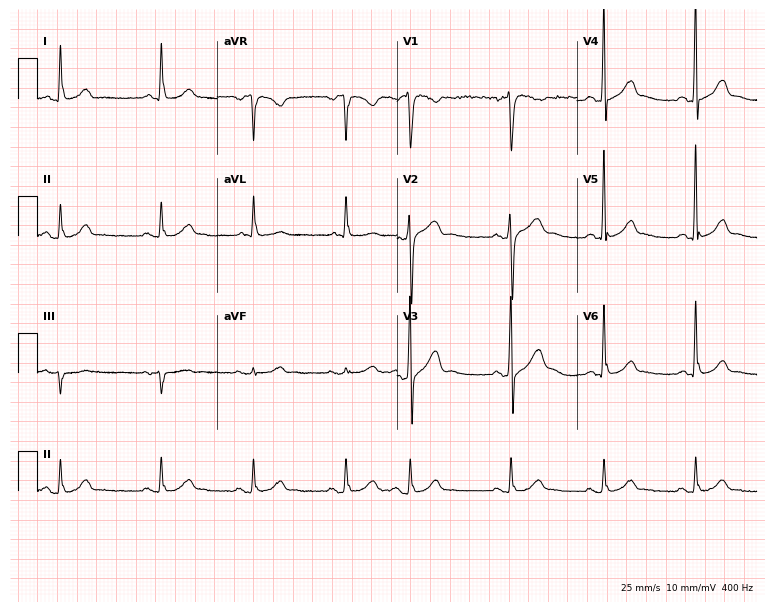
Electrocardiogram (7.3-second recording at 400 Hz), a female patient, 65 years old. Overall reading on record: normal ECG.